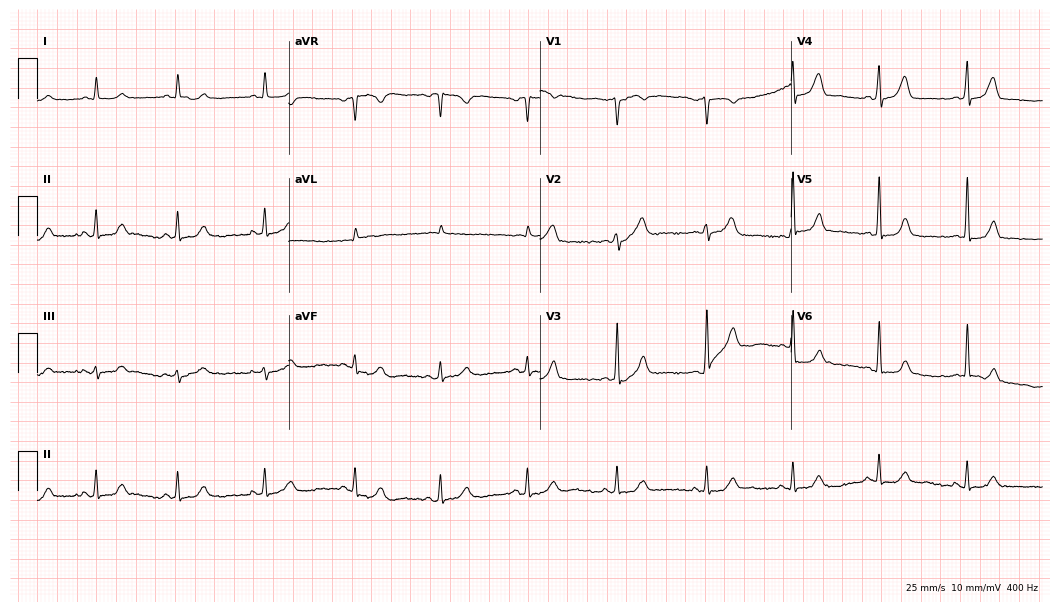
ECG (10.2-second recording at 400 Hz) — a female patient, 77 years old. Labelled as a normal ECG.